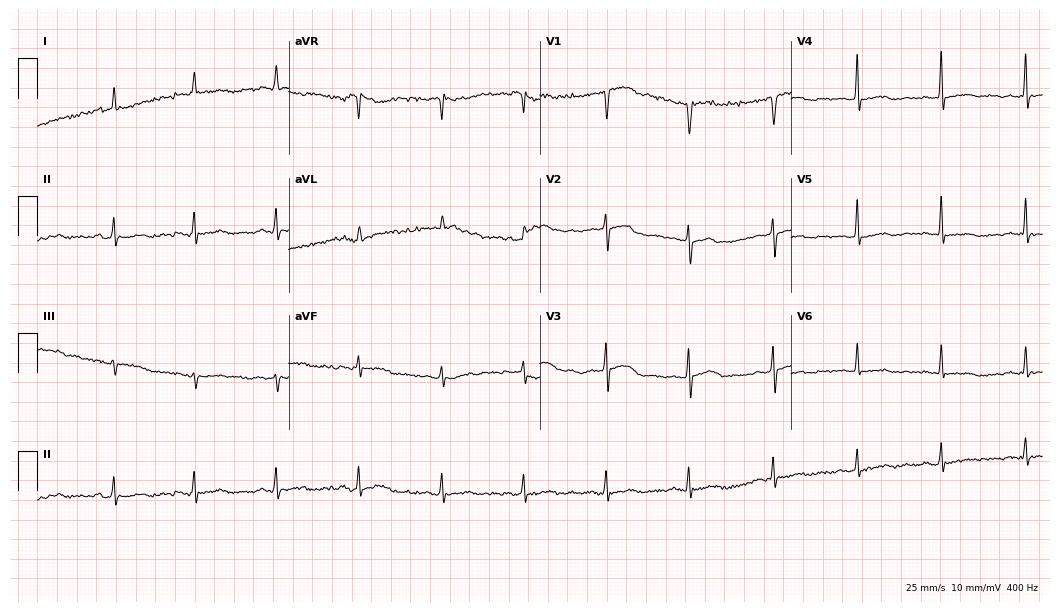
Standard 12-lead ECG recorded from a 70-year-old woman (10.2-second recording at 400 Hz). Read as a normal ECG.